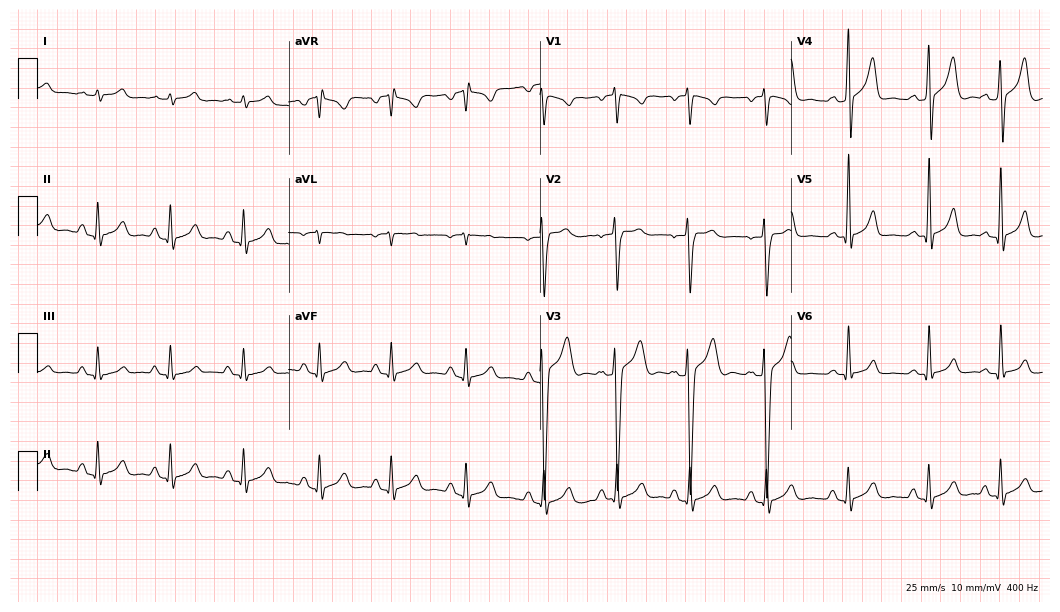
Standard 12-lead ECG recorded from a 25-year-old male patient. Read as a normal ECG.